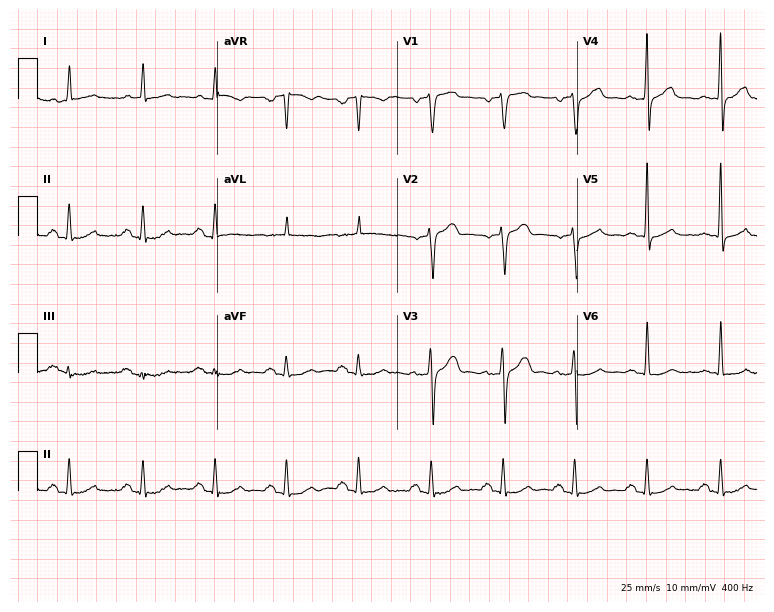
12-lead ECG from a man, 56 years old. No first-degree AV block, right bundle branch block, left bundle branch block, sinus bradycardia, atrial fibrillation or sinus tachycardia recorded for this tracing.